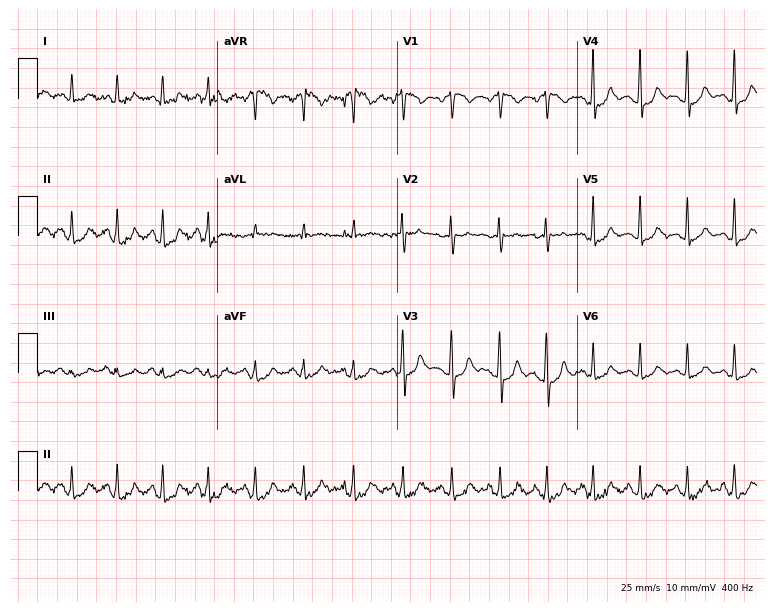
Standard 12-lead ECG recorded from a woman, 42 years old. The tracing shows sinus tachycardia (a sinus rate of 100 beats per minute or more).